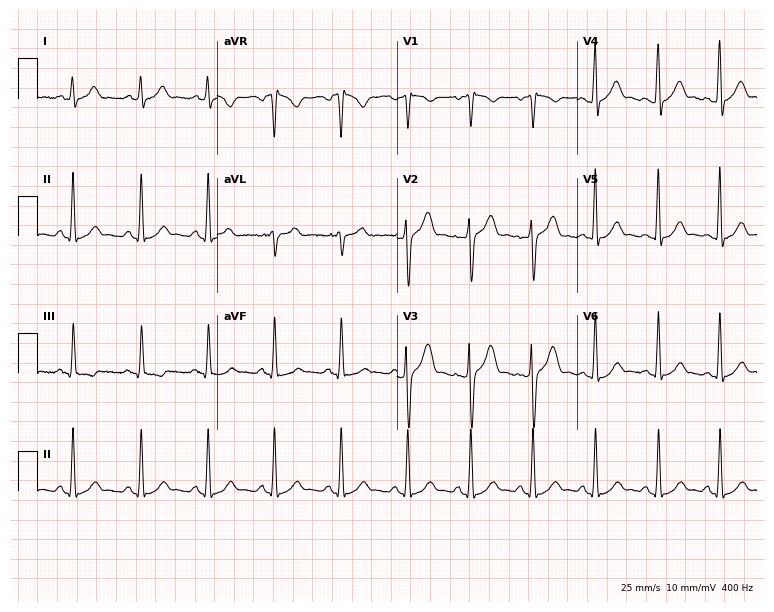
Resting 12-lead electrocardiogram (7.3-second recording at 400 Hz). Patient: a 32-year-old male. Read as a normal ECG.